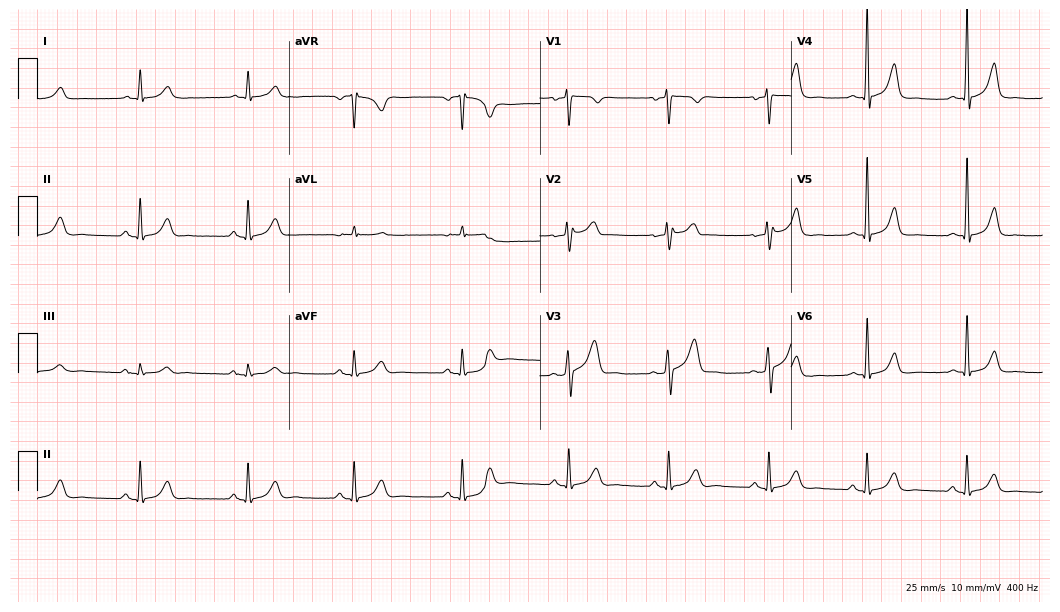
Resting 12-lead electrocardiogram (10.2-second recording at 400 Hz). Patient: a male, 56 years old. None of these six findings is recorded: first-degree AV block, right bundle branch block, left bundle branch block, sinus bradycardia, atrial fibrillation, sinus tachycardia.